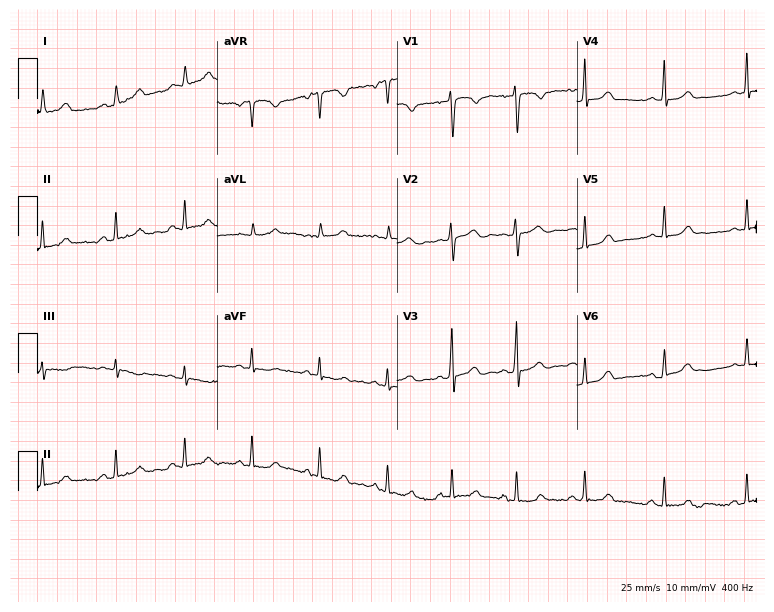
Electrocardiogram (7.3-second recording at 400 Hz), a woman, 20 years old. Of the six screened findings (first-degree AV block, right bundle branch block, left bundle branch block, sinus bradycardia, atrial fibrillation, sinus tachycardia), none is recorded. Other findings, if any, are not listed.